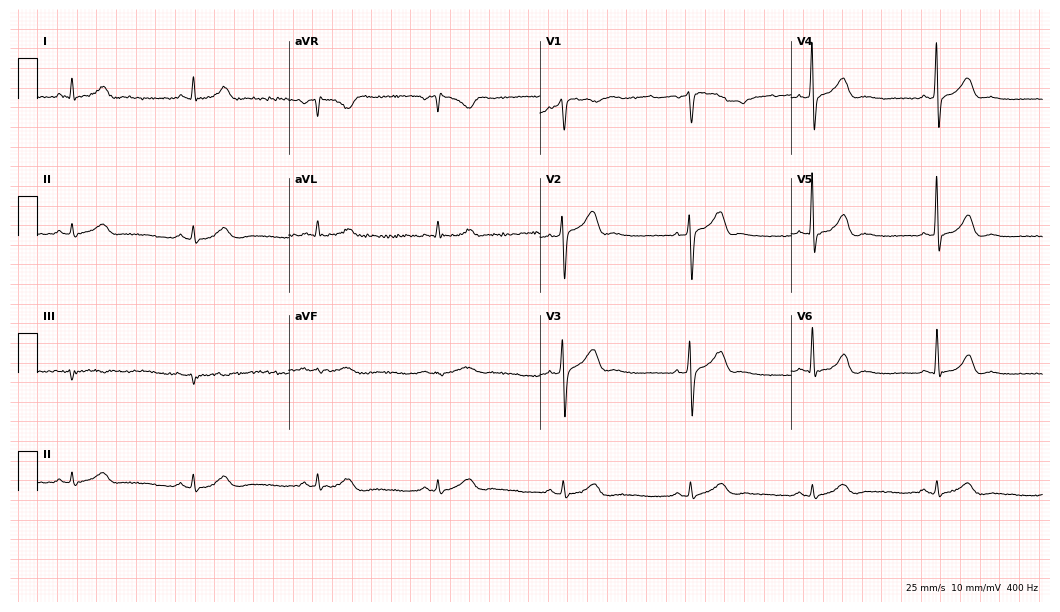
Standard 12-lead ECG recorded from a 48-year-old man (10.2-second recording at 400 Hz). The tracing shows sinus bradycardia (a sinus rate of 50 beats per minute or less).